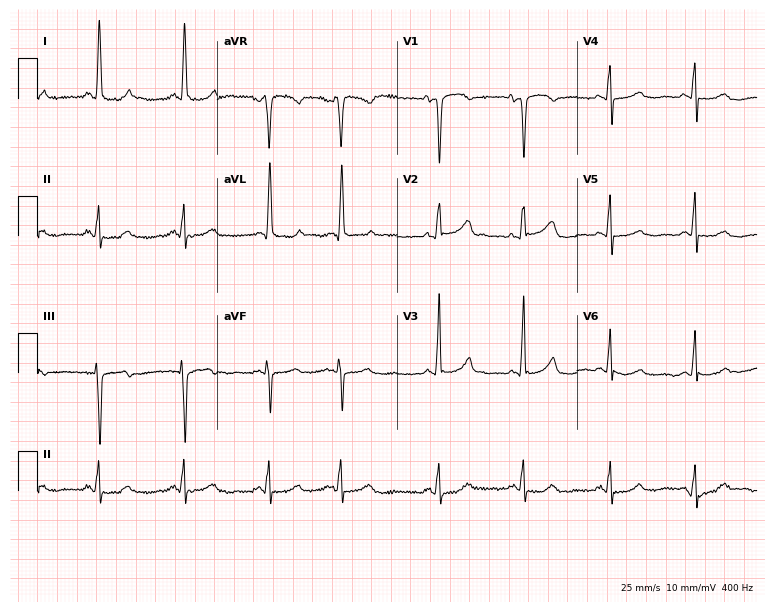
Standard 12-lead ECG recorded from a 79-year-old female. None of these six findings is recorded: first-degree AV block, right bundle branch block, left bundle branch block, sinus bradycardia, atrial fibrillation, sinus tachycardia. Findings outside these six are not listed.